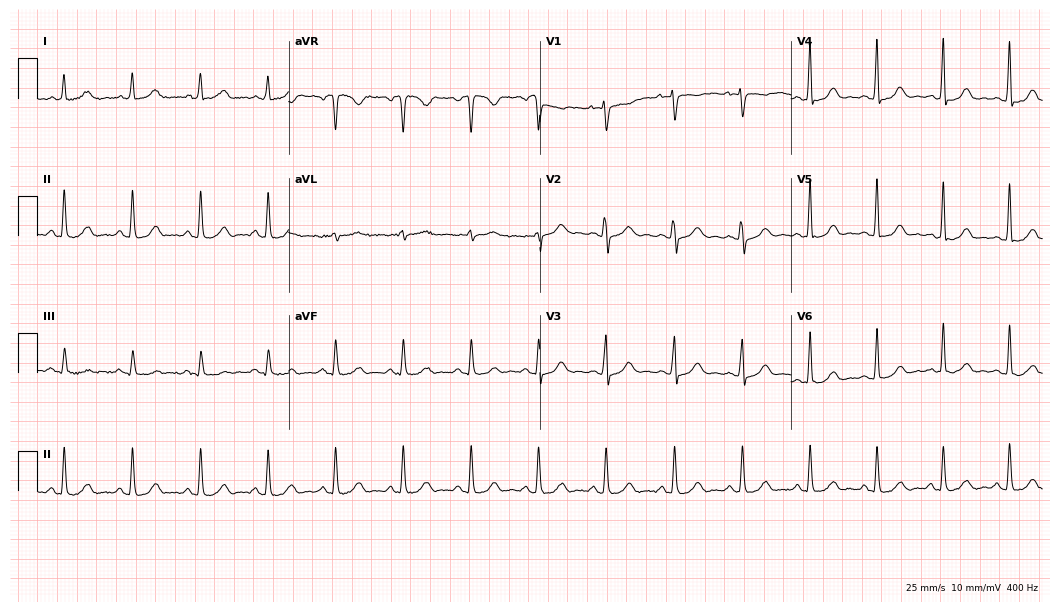
Resting 12-lead electrocardiogram. Patient: a female, 39 years old. Read as a normal ECG.